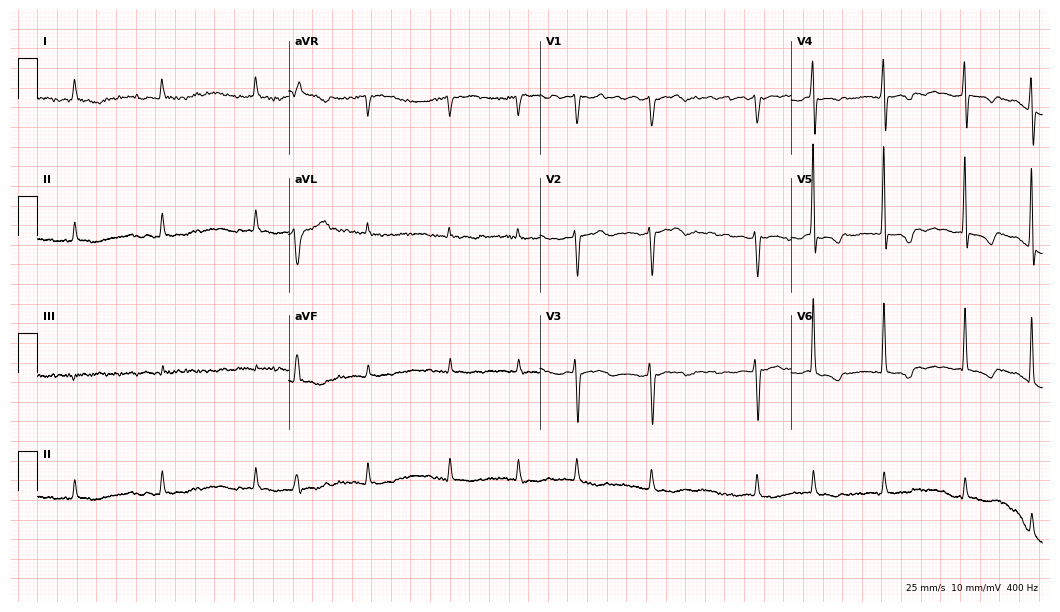
ECG (10.2-second recording at 400 Hz) — an 81-year-old female. Findings include atrial fibrillation.